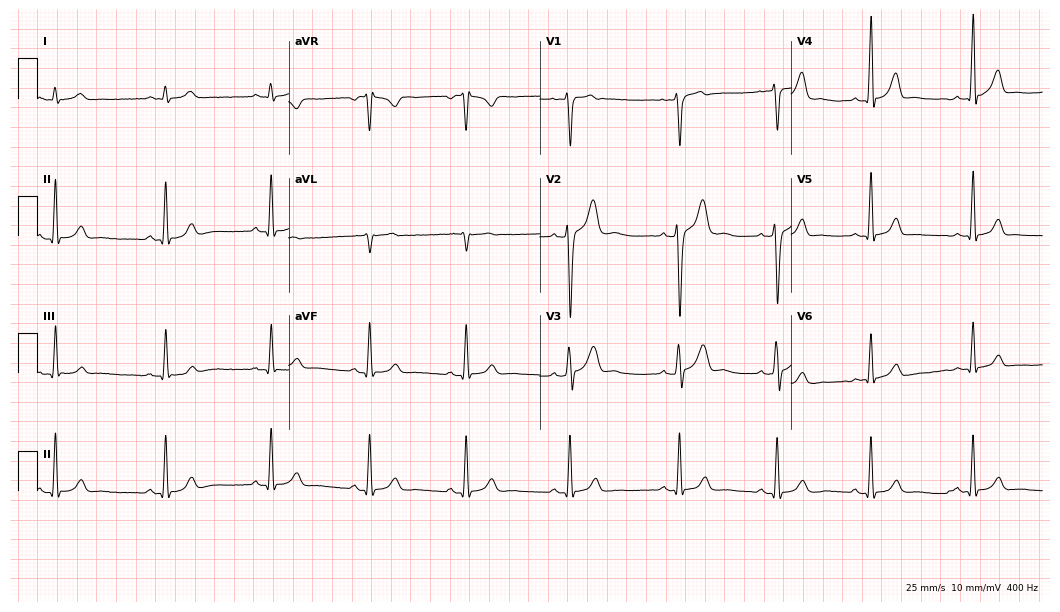
ECG (10.2-second recording at 400 Hz) — a 20-year-old male. Labelled as a normal ECG.